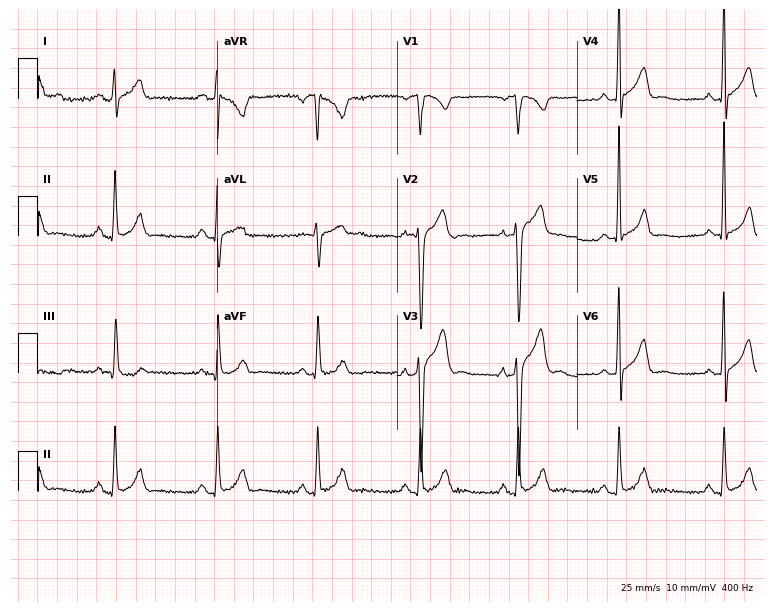
Resting 12-lead electrocardiogram. Patient: a 27-year-old female. None of these six findings is recorded: first-degree AV block, right bundle branch block, left bundle branch block, sinus bradycardia, atrial fibrillation, sinus tachycardia. Other findings, if any, are not listed.